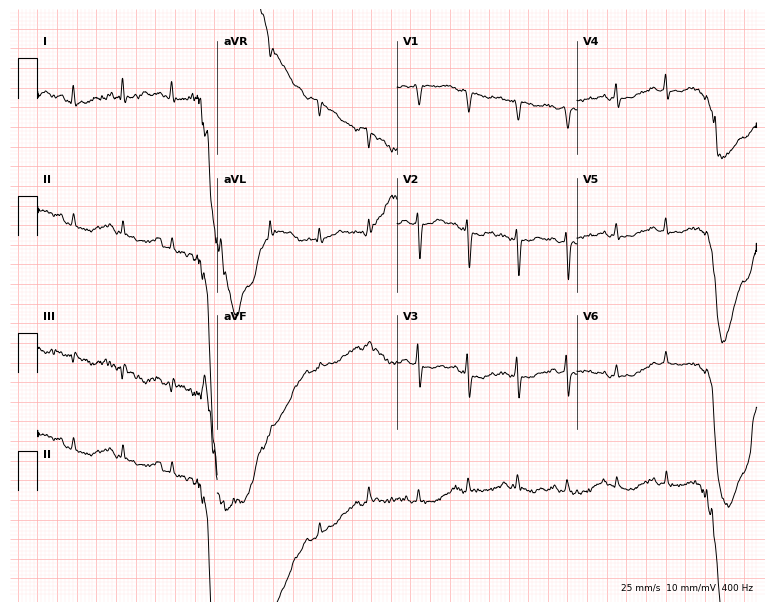
12-lead ECG from a 53-year-old female patient (7.3-second recording at 400 Hz). Shows sinus tachycardia (a sinus rate of 100 beats per minute or more).